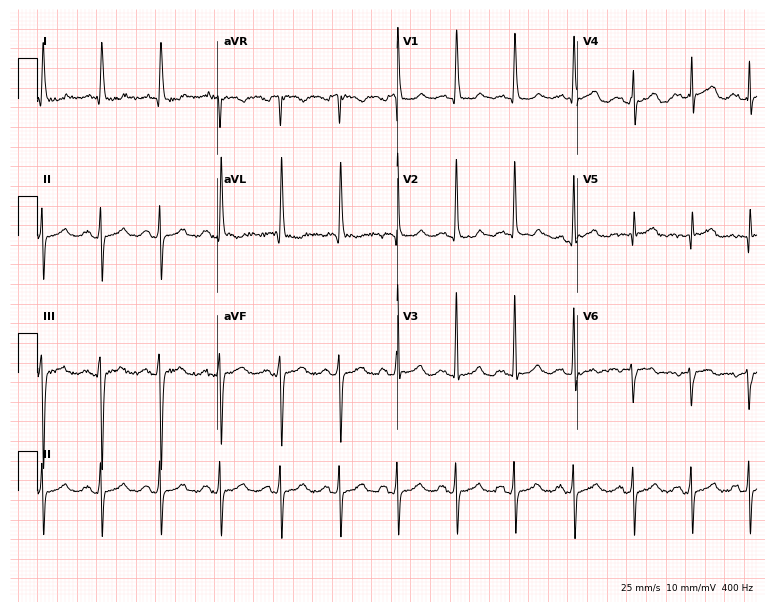
12-lead ECG from a 68-year-old woman. Screened for six findings — first-degree AV block, right bundle branch block, left bundle branch block, sinus bradycardia, atrial fibrillation, sinus tachycardia — none is recorded. Findings outside these six are not listed.